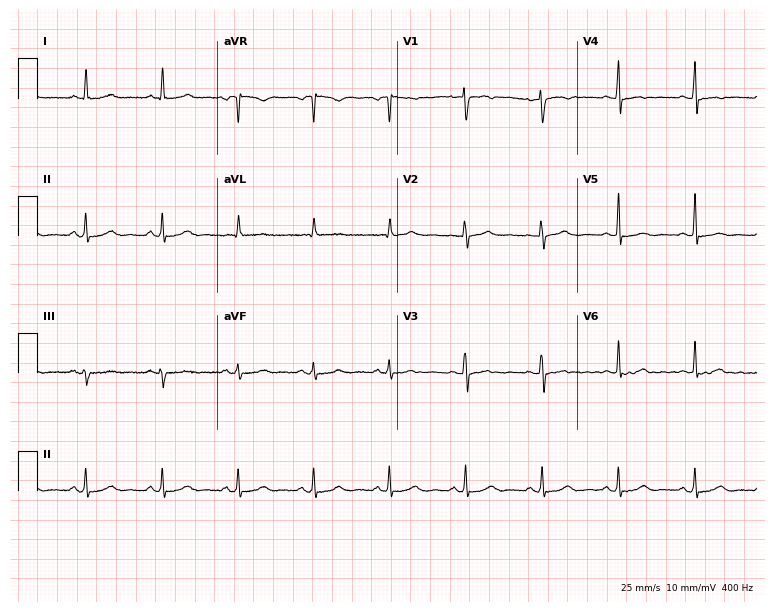
12-lead ECG (7.3-second recording at 400 Hz) from a 57-year-old female. Screened for six findings — first-degree AV block, right bundle branch block, left bundle branch block, sinus bradycardia, atrial fibrillation, sinus tachycardia — none is recorded.